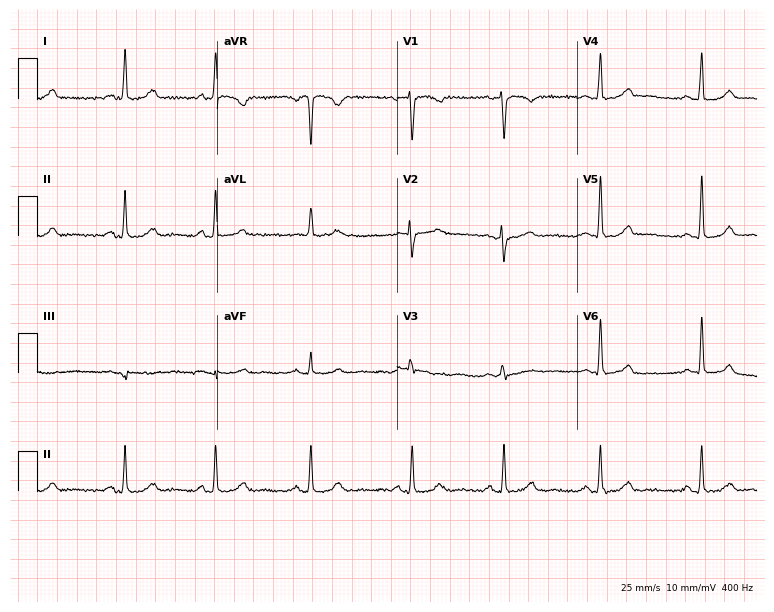
12-lead ECG from a female patient, 48 years old. Screened for six findings — first-degree AV block, right bundle branch block, left bundle branch block, sinus bradycardia, atrial fibrillation, sinus tachycardia — none is recorded. Only these six findings were labelled.